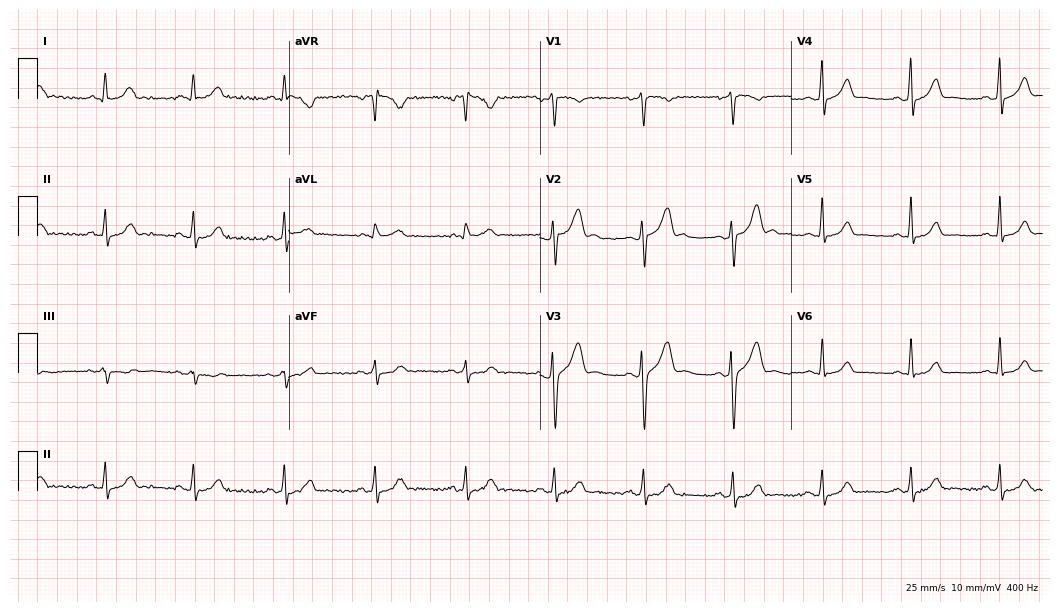
Standard 12-lead ECG recorded from a male patient, 35 years old (10.2-second recording at 400 Hz). Read as a normal ECG.